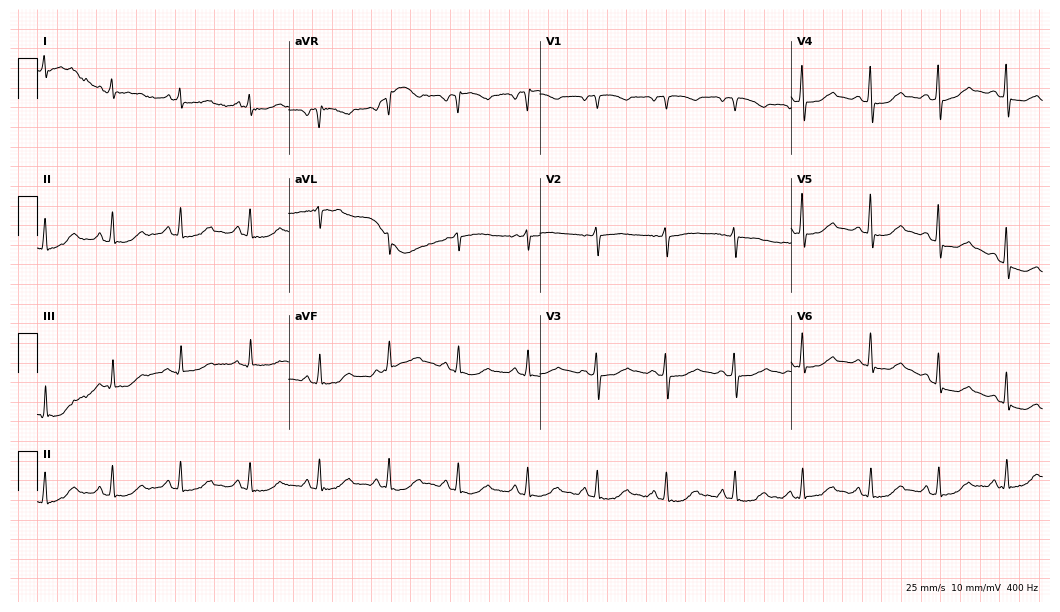
12-lead ECG from a female, 54 years old. Recorded interpretation: within normal limits.